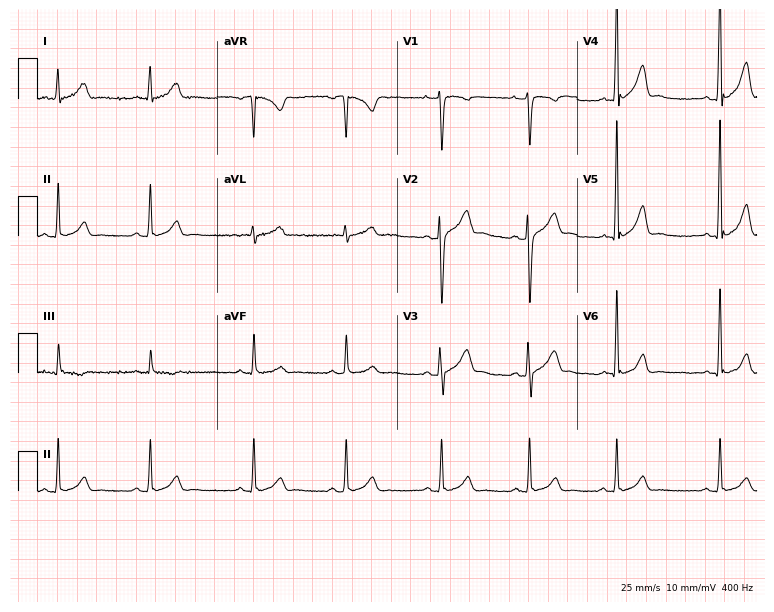
12-lead ECG (7.3-second recording at 400 Hz) from a 17-year-old man. Screened for six findings — first-degree AV block, right bundle branch block (RBBB), left bundle branch block (LBBB), sinus bradycardia, atrial fibrillation (AF), sinus tachycardia — none is recorded. Findings outside these six are not listed.